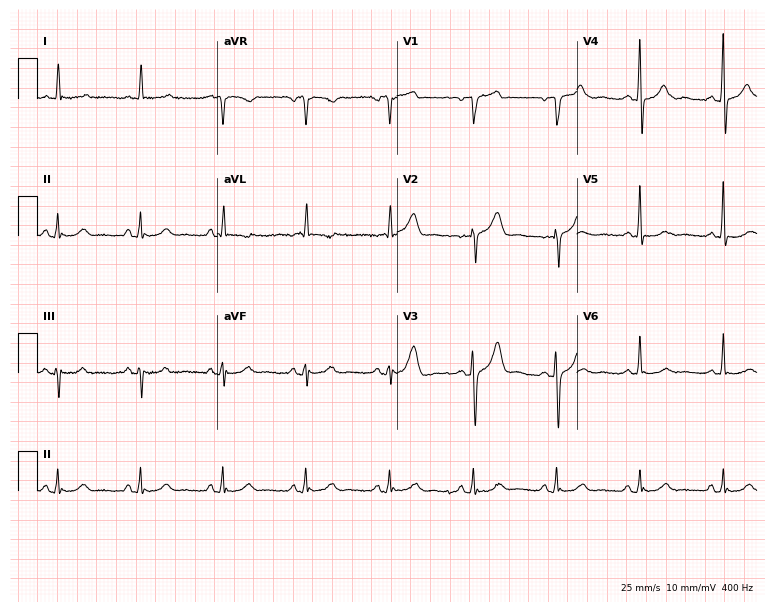
Resting 12-lead electrocardiogram. Patient: a 69-year-old man. None of these six findings is recorded: first-degree AV block, right bundle branch block, left bundle branch block, sinus bradycardia, atrial fibrillation, sinus tachycardia. Other findings, if any, are not listed.